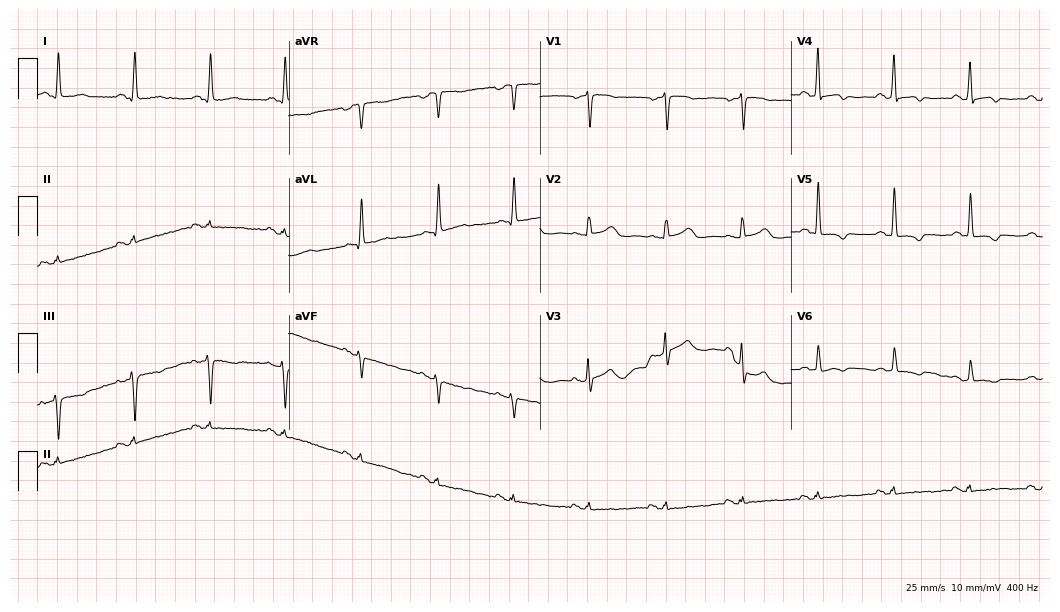
ECG (10.2-second recording at 400 Hz) — a 61-year-old female patient. Screened for six findings — first-degree AV block, right bundle branch block, left bundle branch block, sinus bradycardia, atrial fibrillation, sinus tachycardia — none is recorded.